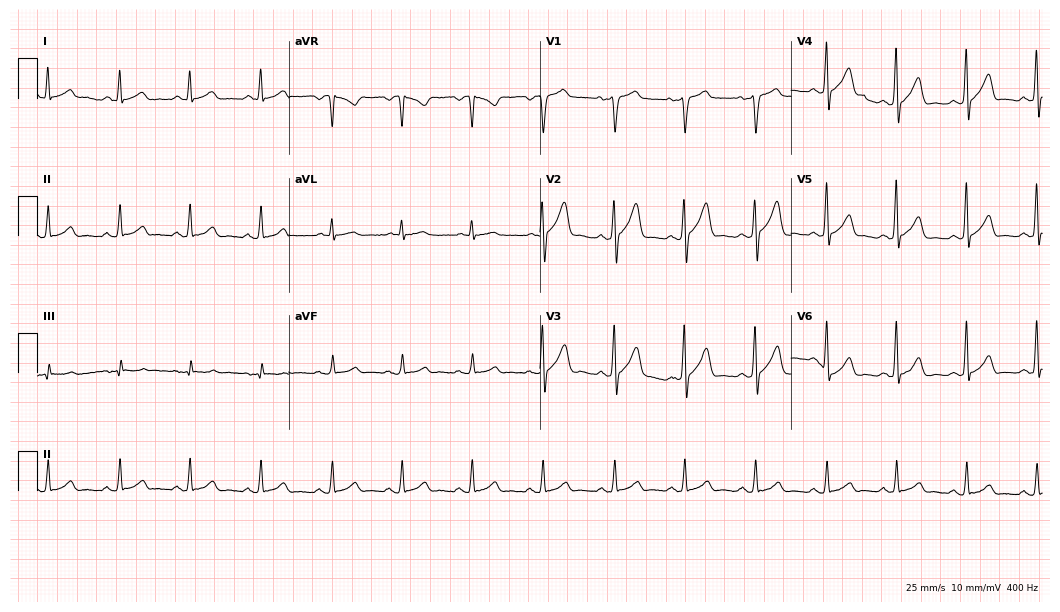
Electrocardiogram (10.2-second recording at 400 Hz), a 43-year-old man. Overall reading on record: normal ECG.